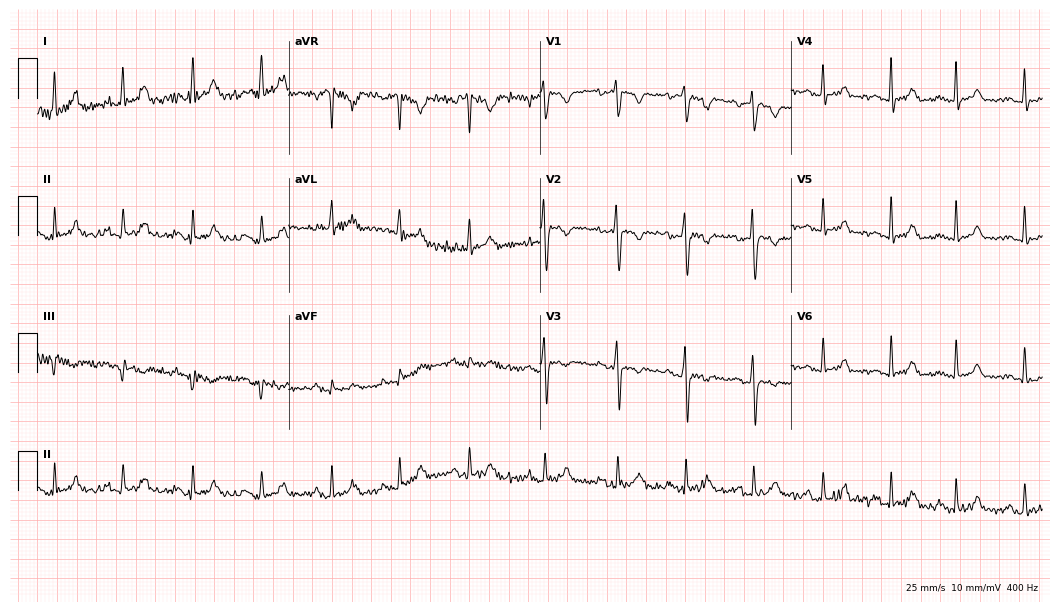
Resting 12-lead electrocardiogram (10.2-second recording at 400 Hz). Patient: a female, 22 years old. Read as a normal ECG.